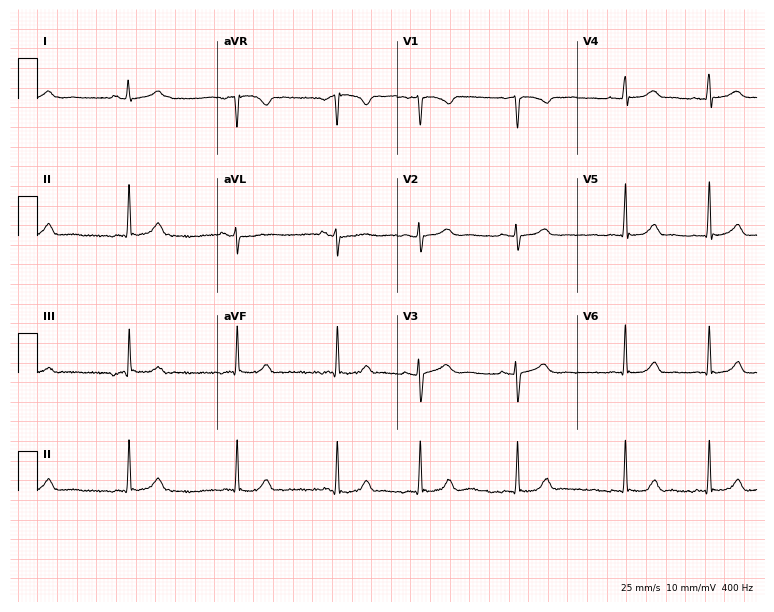
ECG (7.3-second recording at 400 Hz) — a 19-year-old woman. Labelled as a normal ECG.